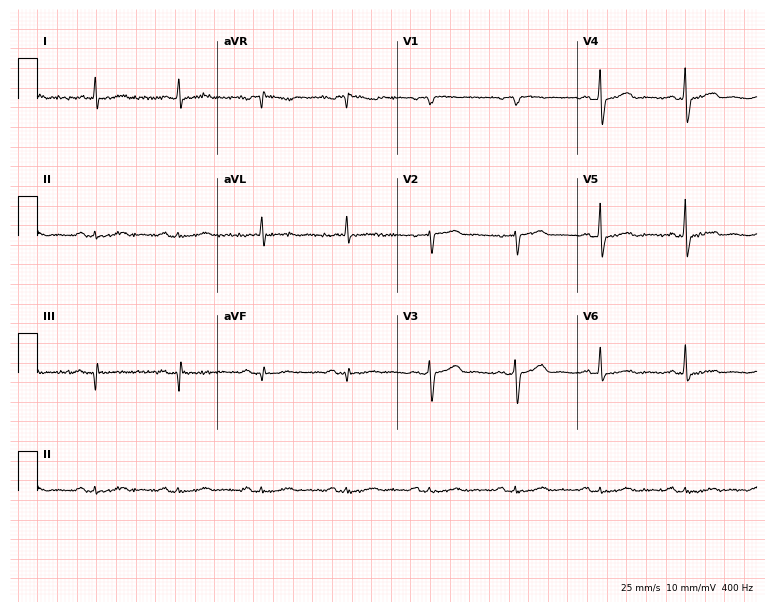
Resting 12-lead electrocardiogram. Patient: a 74-year-old male. Read as a normal ECG.